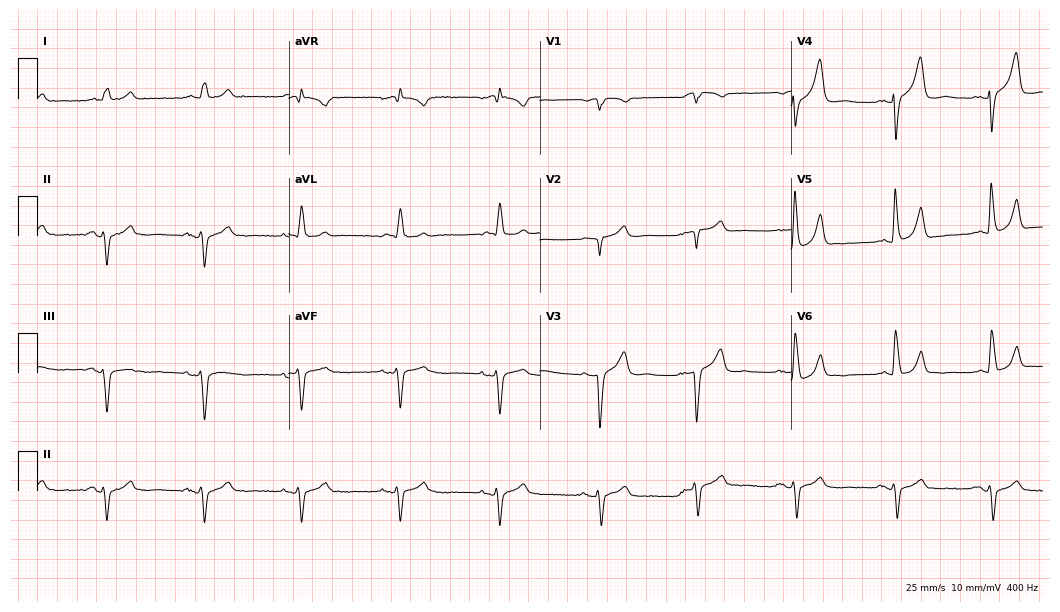
Standard 12-lead ECG recorded from a 46-year-old male patient. None of these six findings is recorded: first-degree AV block, right bundle branch block, left bundle branch block, sinus bradycardia, atrial fibrillation, sinus tachycardia. Only these six findings were labelled.